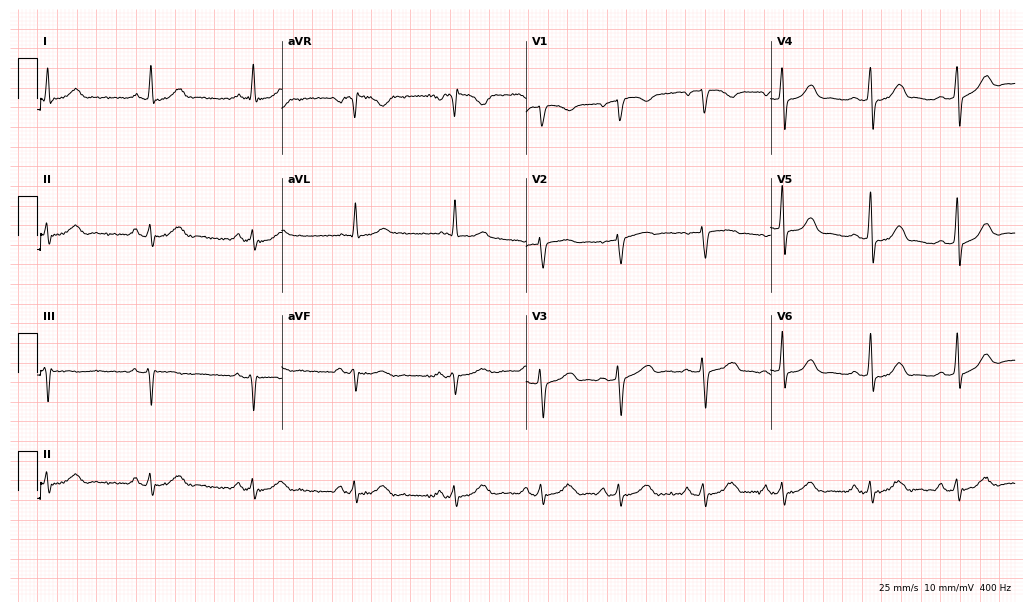
ECG — a 54-year-old female patient. Labelled as a normal ECG.